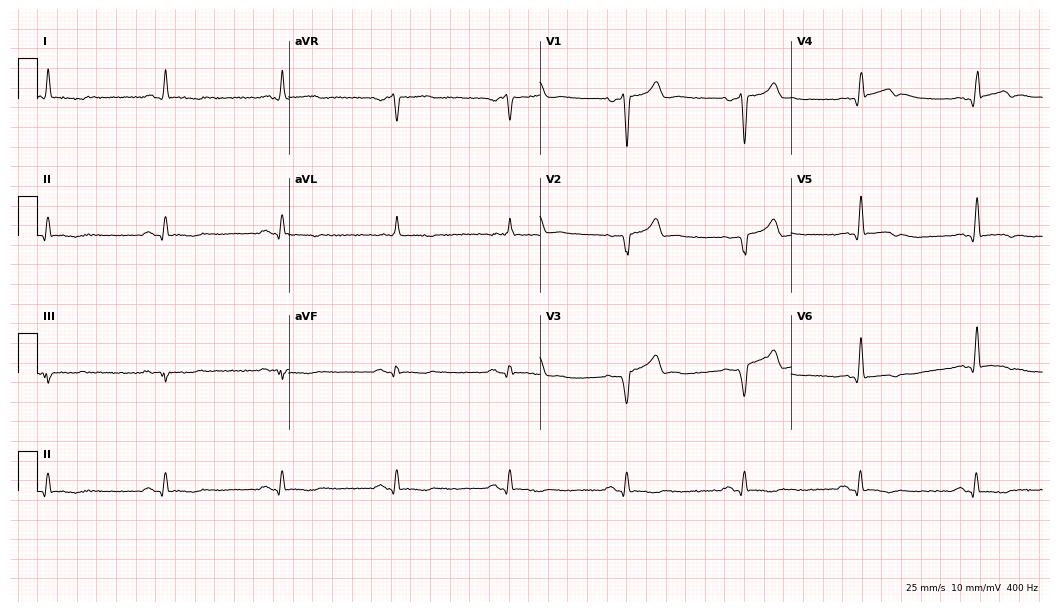
12-lead ECG from a male, 74 years old. Screened for six findings — first-degree AV block, right bundle branch block, left bundle branch block, sinus bradycardia, atrial fibrillation, sinus tachycardia — none is recorded.